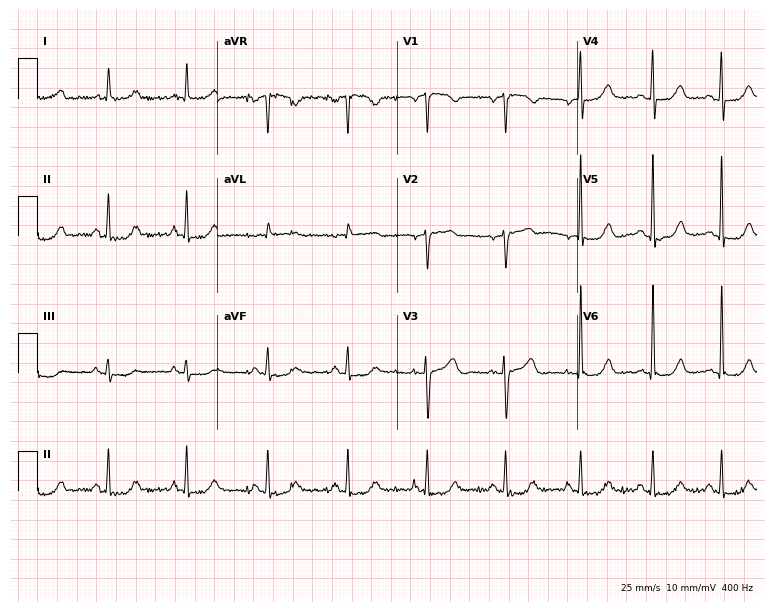
Resting 12-lead electrocardiogram. Patient: a 67-year-old female. None of these six findings is recorded: first-degree AV block, right bundle branch block, left bundle branch block, sinus bradycardia, atrial fibrillation, sinus tachycardia. Other findings, if any, are not listed.